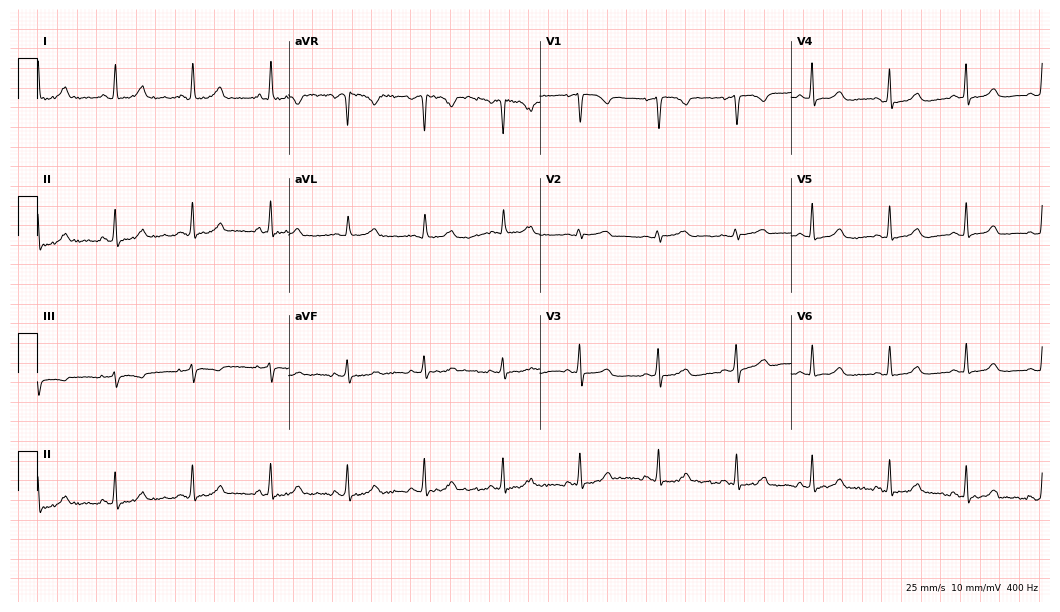
Electrocardiogram (10.2-second recording at 400 Hz), a woman, 43 years old. Overall reading on record: normal ECG.